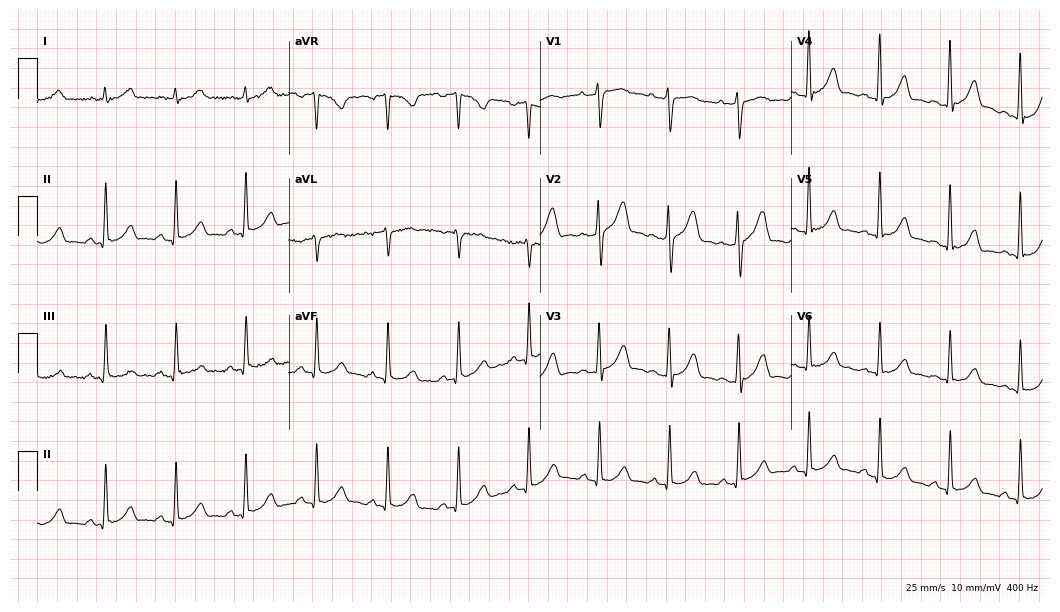
12-lead ECG from a male, 56 years old (10.2-second recording at 400 Hz). Recorded interpretation: within normal limits.